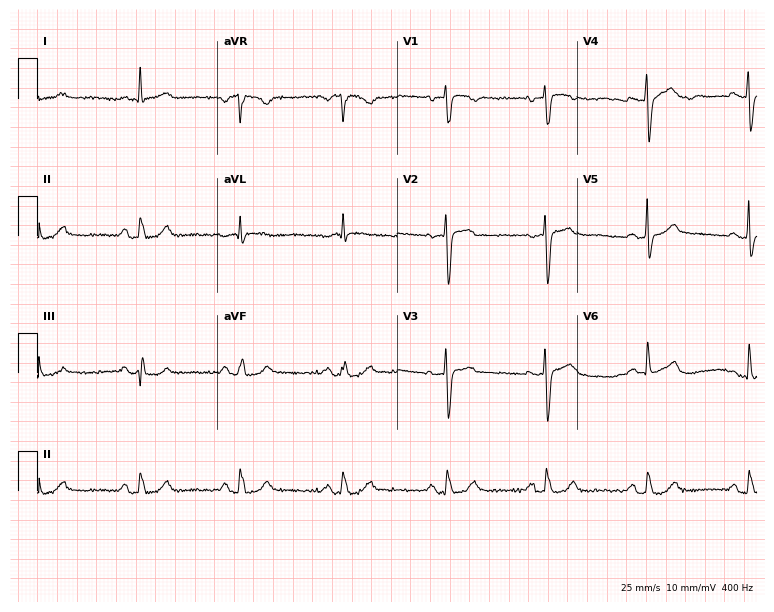
Resting 12-lead electrocardiogram. Patient: an 80-year-old female. Read as a normal ECG.